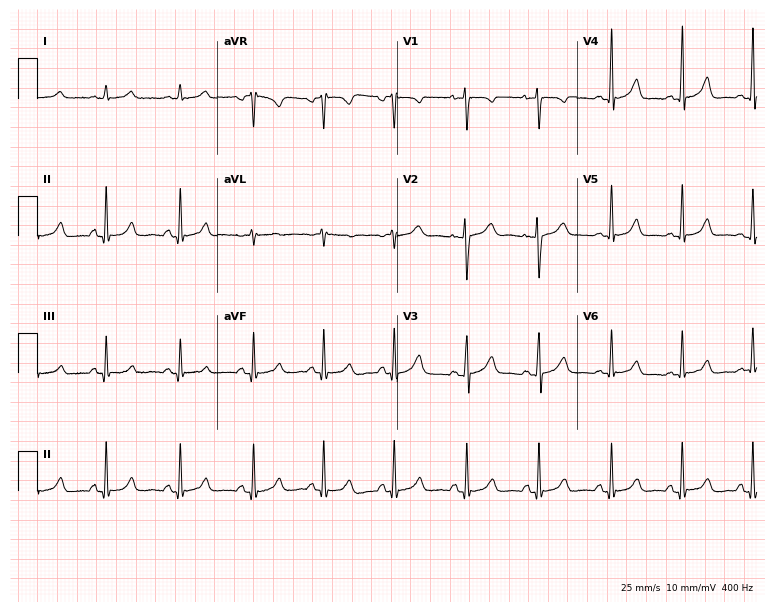
12-lead ECG from a female patient, 31 years old. Recorded interpretation: within normal limits.